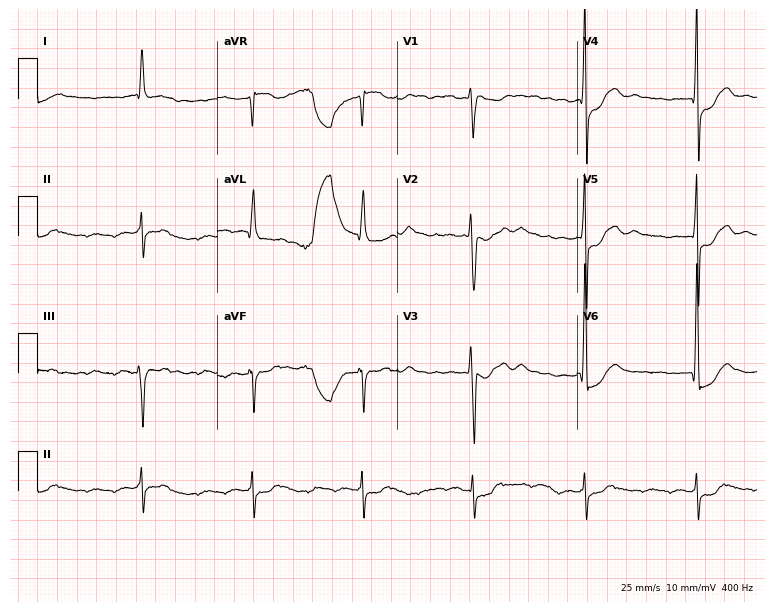
Standard 12-lead ECG recorded from a 65-year-old woman. None of these six findings is recorded: first-degree AV block, right bundle branch block, left bundle branch block, sinus bradycardia, atrial fibrillation, sinus tachycardia.